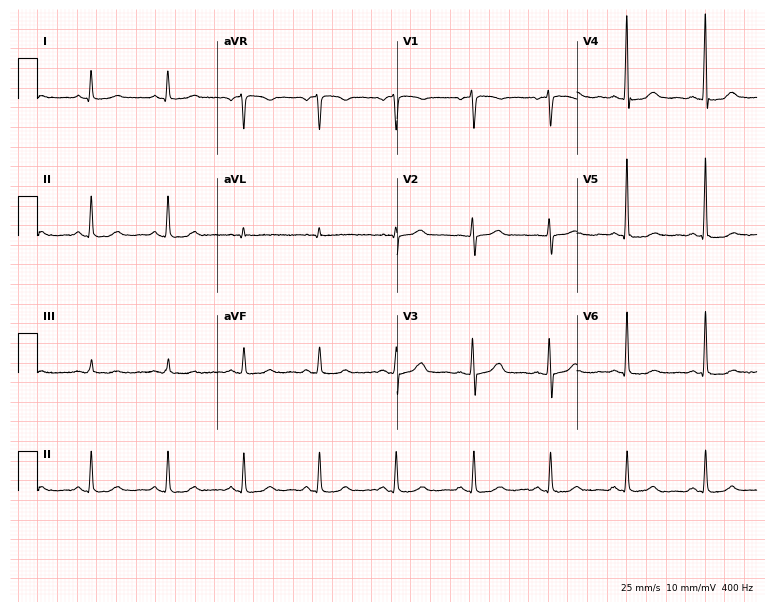
Standard 12-lead ECG recorded from a 56-year-old woman (7.3-second recording at 400 Hz). None of these six findings is recorded: first-degree AV block, right bundle branch block, left bundle branch block, sinus bradycardia, atrial fibrillation, sinus tachycardia.